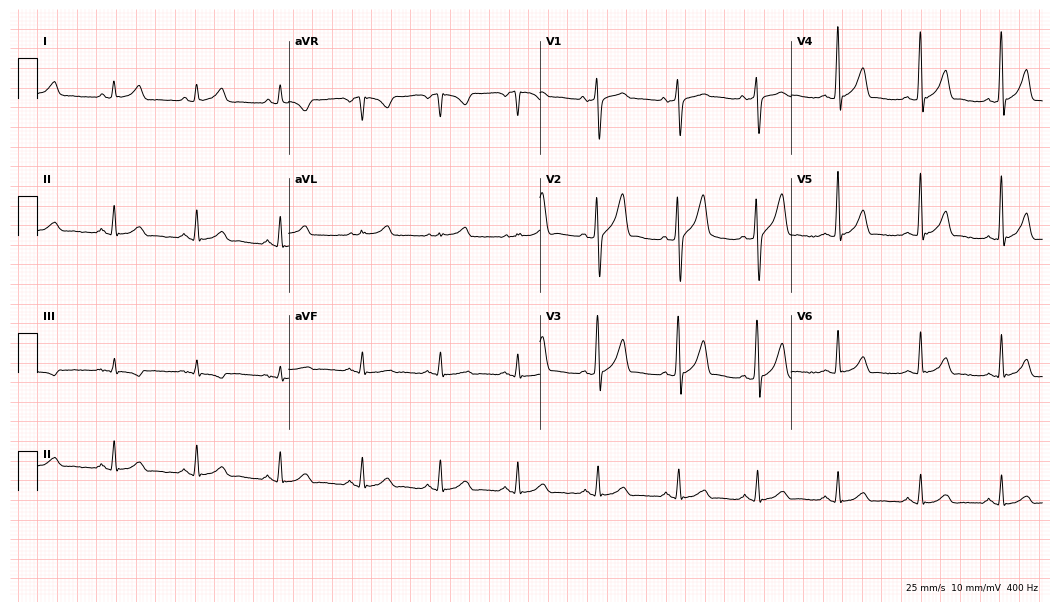
Electrocardiogram, a 48-year-old man. Overall reading on record: normal ECG.